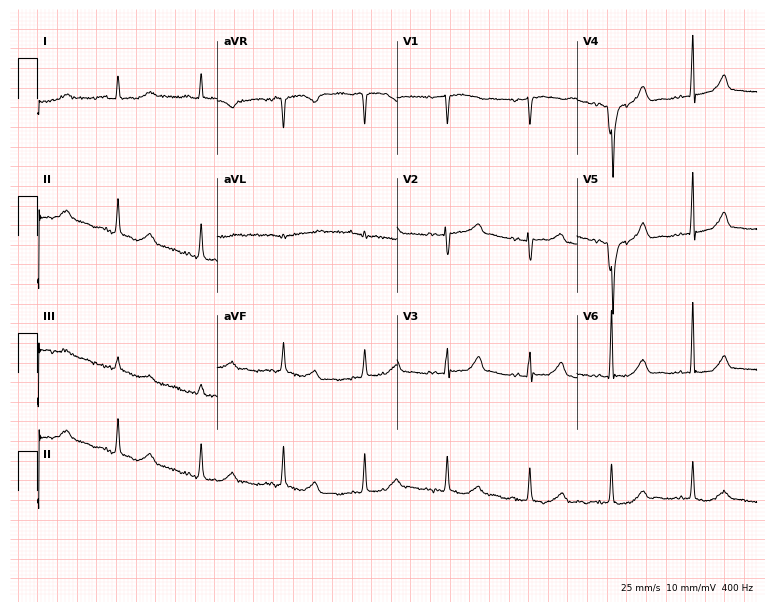
12-lead ECG (7.3-second recording at 400 Hz) from an 82-year-old woman. Labelled as a normal ECG.